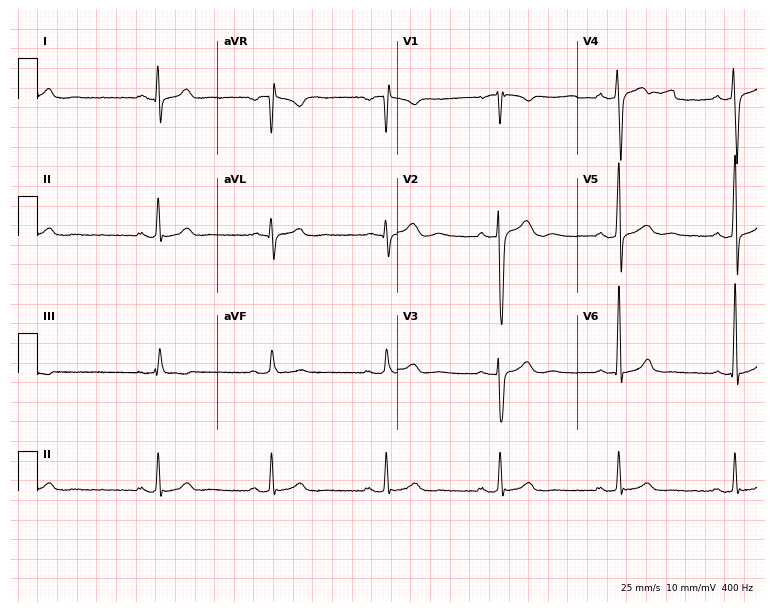
ECG — a male patient, 28 years old. Screened for six findings — first-degree AV block, right bundle branch block, left bundle branch block, sinus bradycardia, atrial fibrillation, sinus tachycardia — none is recorded.